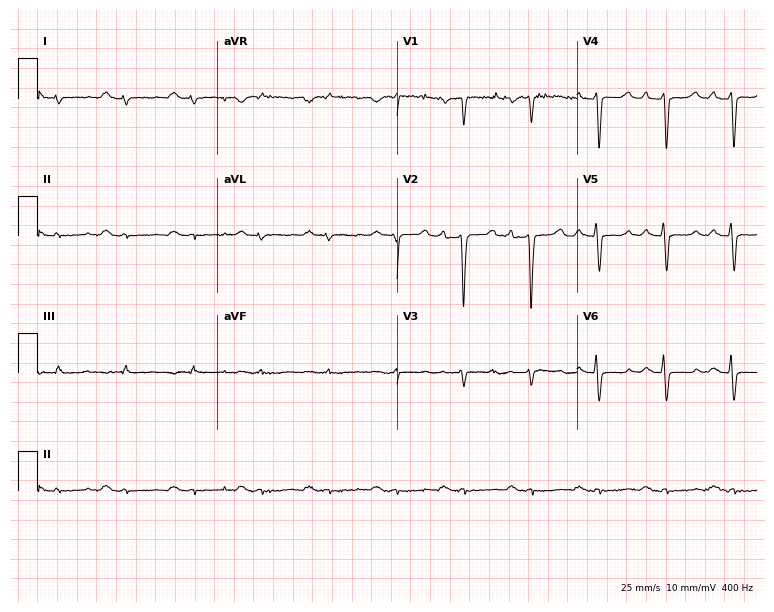
12-lead ECG from a man, 45 years old. No first-degree AV block, right bundle branch block, left bundle branch block, sinus bradycardia, atrial fibrillation or sinus tachycardia recorded for this tracing. Only these six findings were labelled.